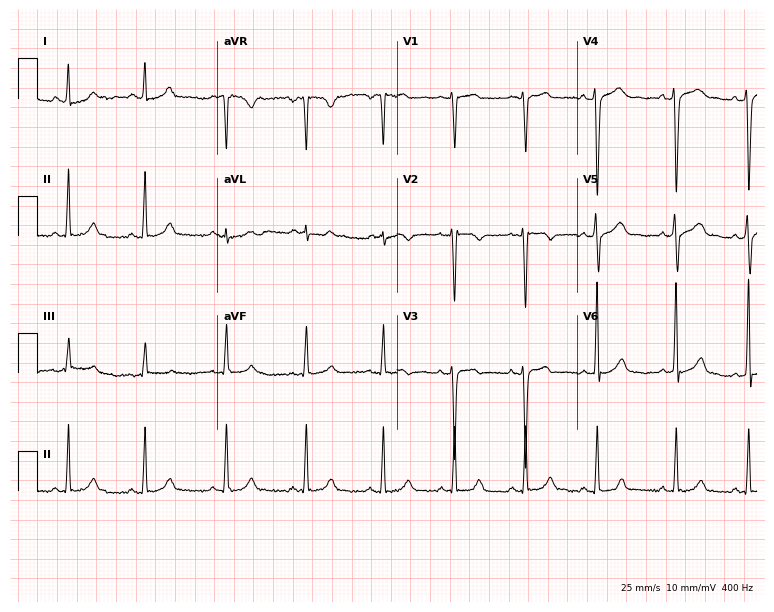
Electrocardiogram (7.3-second recording at 400 Hz), a 25-year-old male. Of the six screened findings (first-degree AV block, right bundle branch block, left bundle branch block, sinus bradycardia, atrial fibrillation, sinus tachycardia), none is recorded.